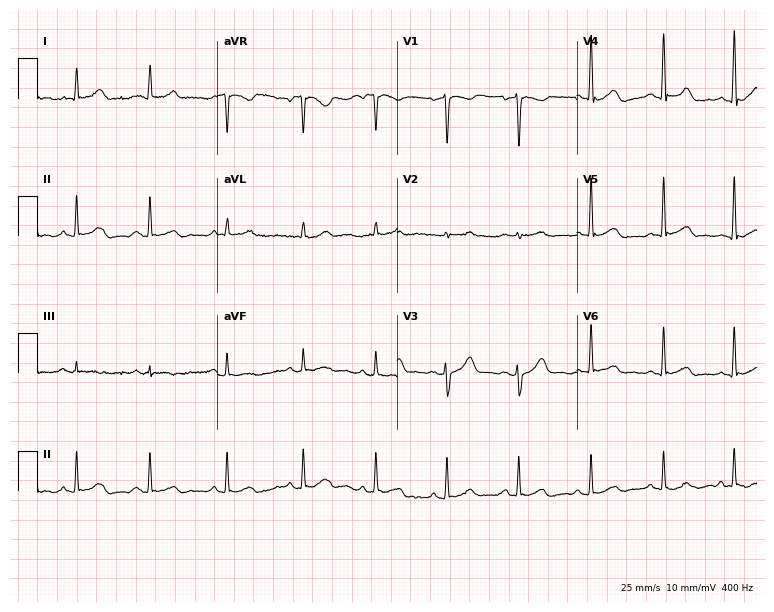
12-lead ECG from a 45-year-old male patient. Recorded interpretation: within normal limits.